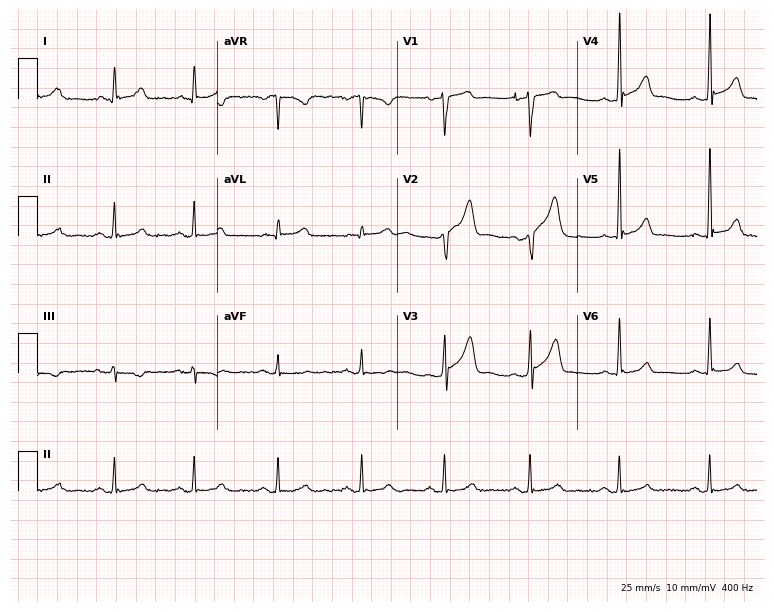
12-lead ECG from a man, 47 years old. Recorded interpretation: within normal limits.